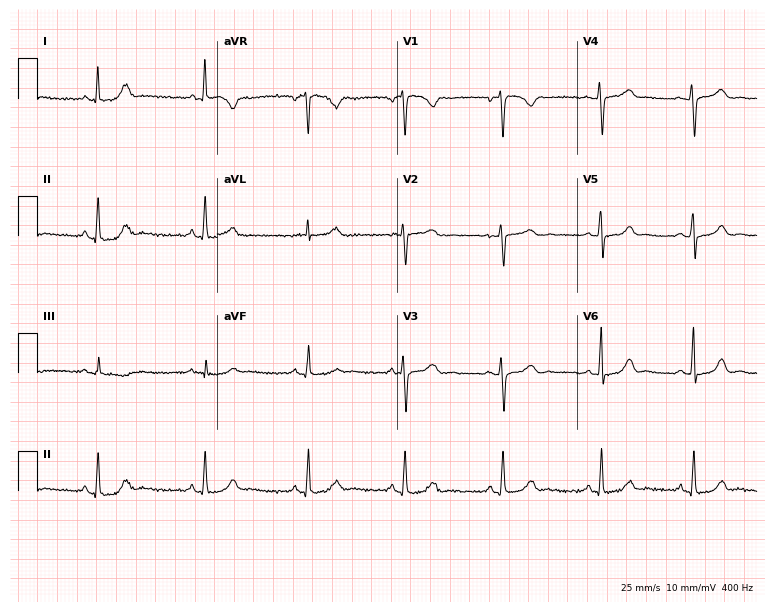
12-lead ECG (7.3-second recording at 400 Hz) from a 40-year-old female patient. Screened for six findings — first-degree AV block, right bundle branch block (RBBB), left bundle branch block (LBBB), sinus bradycardia, atrial fibrillation (AF), sinus tachycardia — none is recorded. Only these six findings were labelled.